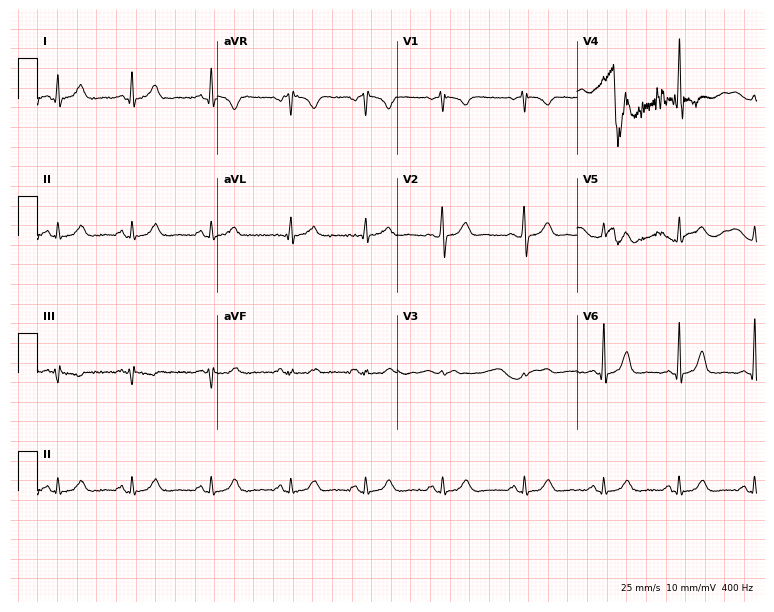
12-lead ECG from a woman, 31 years old. No first-degree AV block, right bundle branch block, left bundle branch block, sinus bradycardia, atrial fibrillation or sinus tachycardia recorded for this tracing. Only these six findings were labelled.